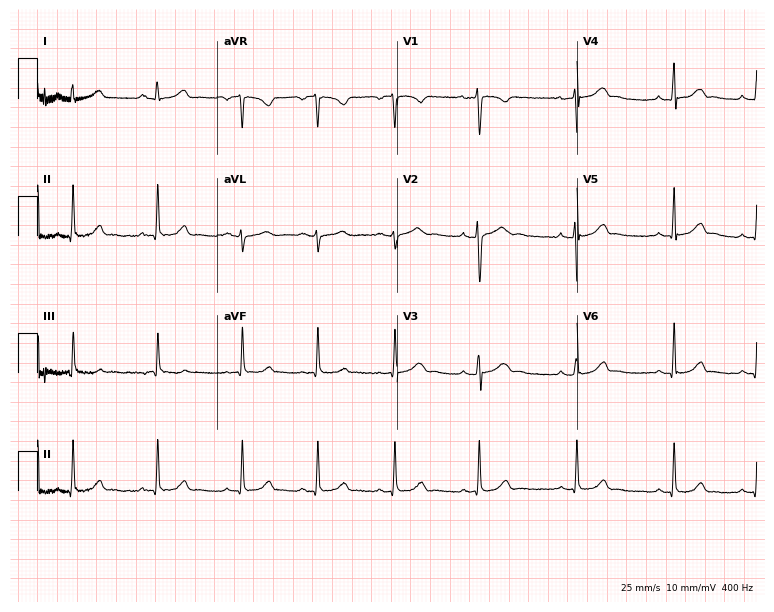
Electrocardiogram, a 17-year-old female patient. Overall reading on record: normal ECG.